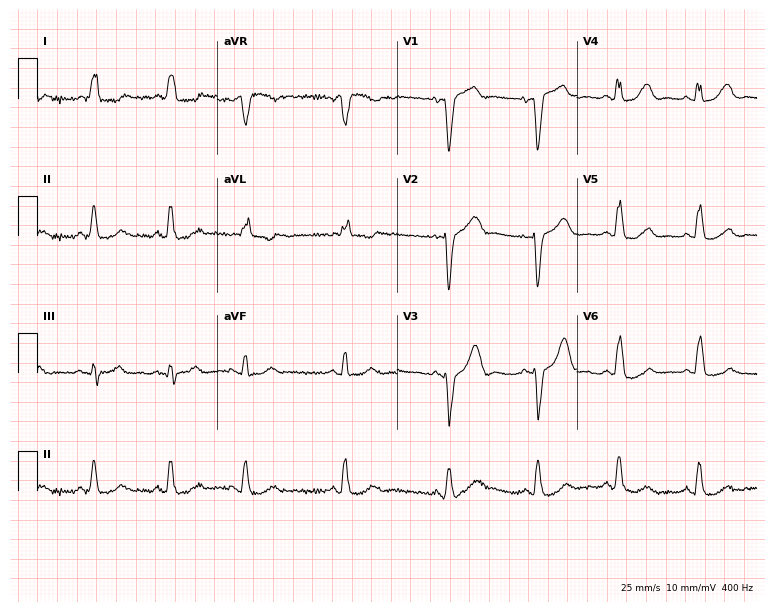
ECG — an 82-year-old female patient. Findings include left bundle branch block (LBBB).